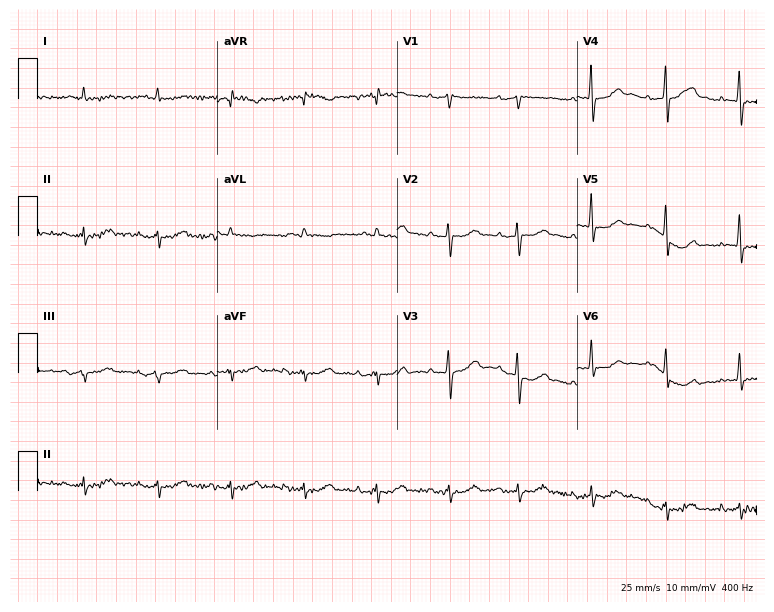
Electrocardiogram (7.3-second recording at 400 Hz), a man, 74 years old. Of the six screened findings (first-degree AV block, right bundle branch block (RBBB), left bundle branch block (LBBB), sinus bradycardia, atrial fibrillation (AF), sinus tachycardia), none is recorded.